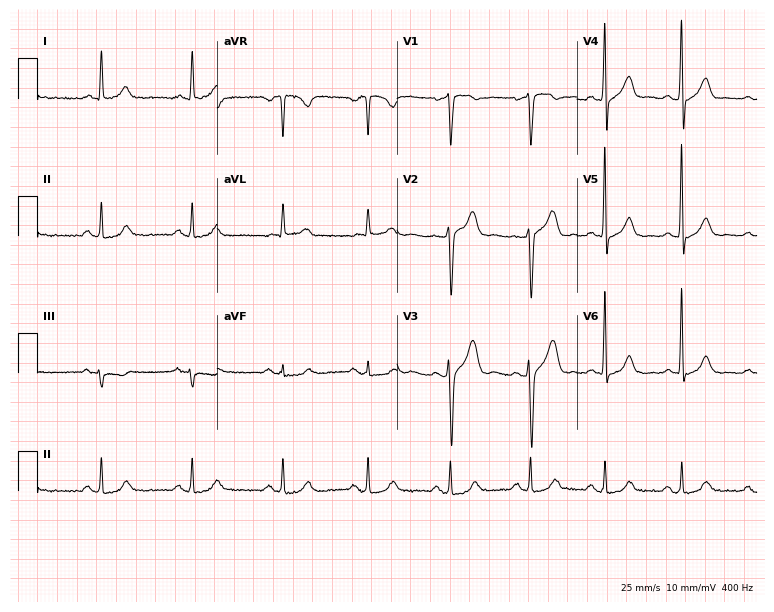
Standard 12-lead ECG recorded from a 69-year-old male patient. Read as a normal ECG.